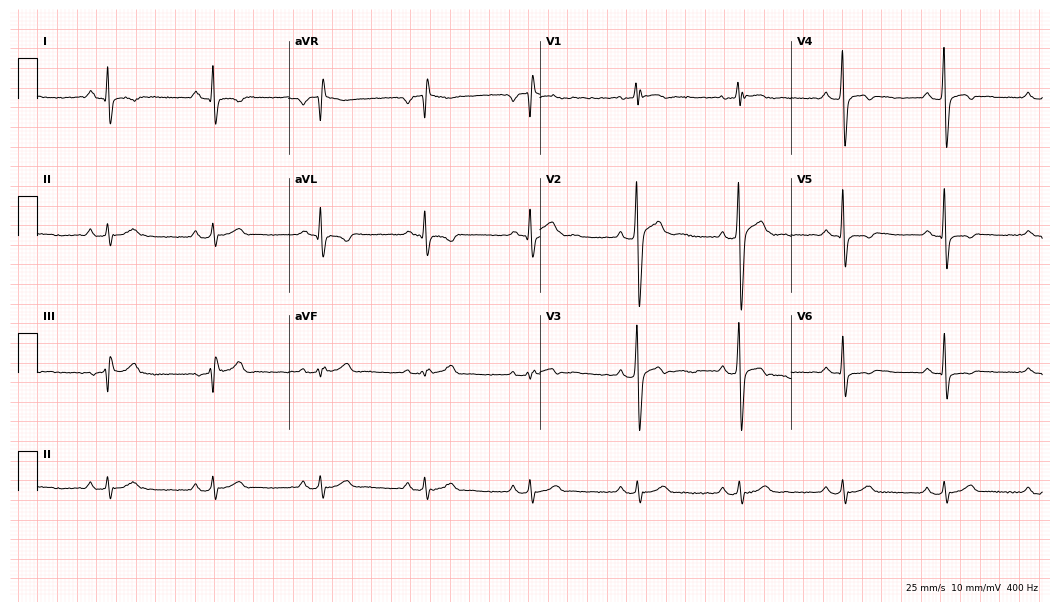
12-lead ECG (10.2-second recording at 400 Hz) from a 37-year-old man. Screened for six findings — first-degree AV block, right bundle branch block, left bundle branch block, sinus bradycardia, atrial fibrillation, sinus tachycardia — none is recorded. Other findings, if any, are not listed.